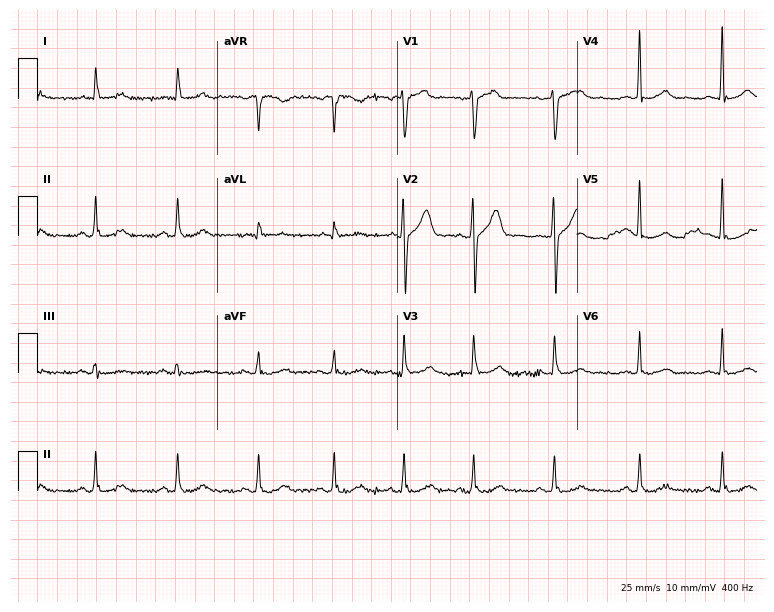
12-lead ECG (7.3-second recording at 400 Hz) from a 55-year-old male patient. Labelled as a normal ECG.